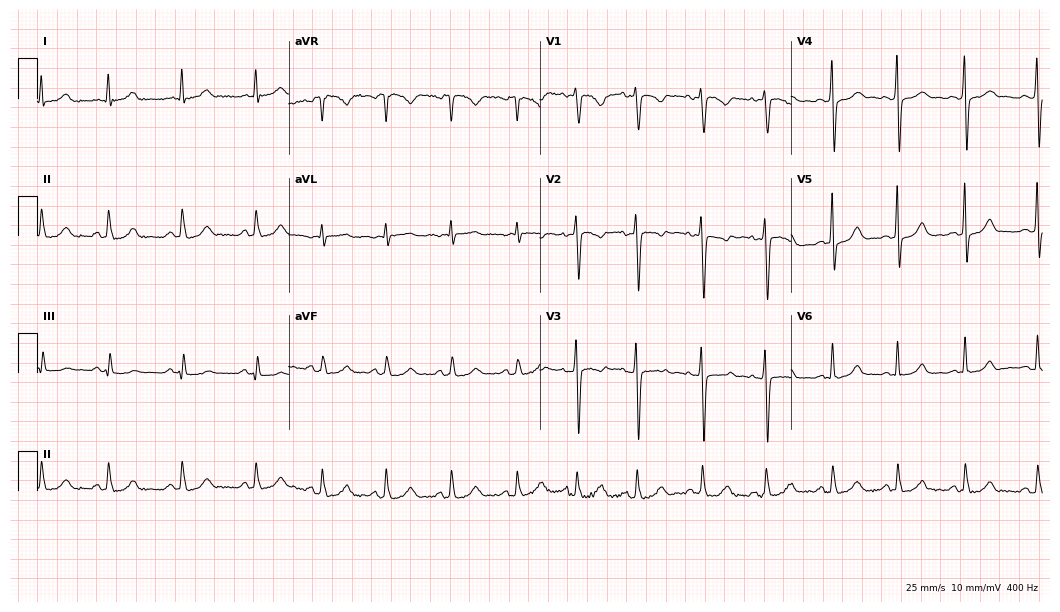
Standard 12-lead ECG recorded from a male patient, 30 years old. None of these six findings is recorded: first-degree AV block, right bundle branch block, left bundle branch block, sinus bradycardia, atrial fibrillation, sinus tachycardia.